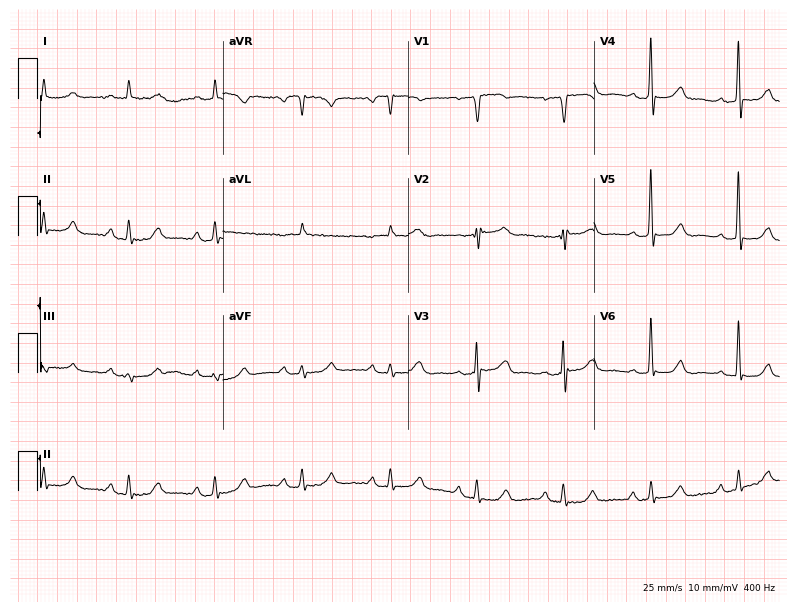
ECG (7.6-second recording at 400 Hz) — an 82-year-old man. Screened for six findings — first-degree AV block, right bundle branch block, left bundle branch block, sinus bradycardia, atrial fibrillation, sinus tachycardia — none is recorded.